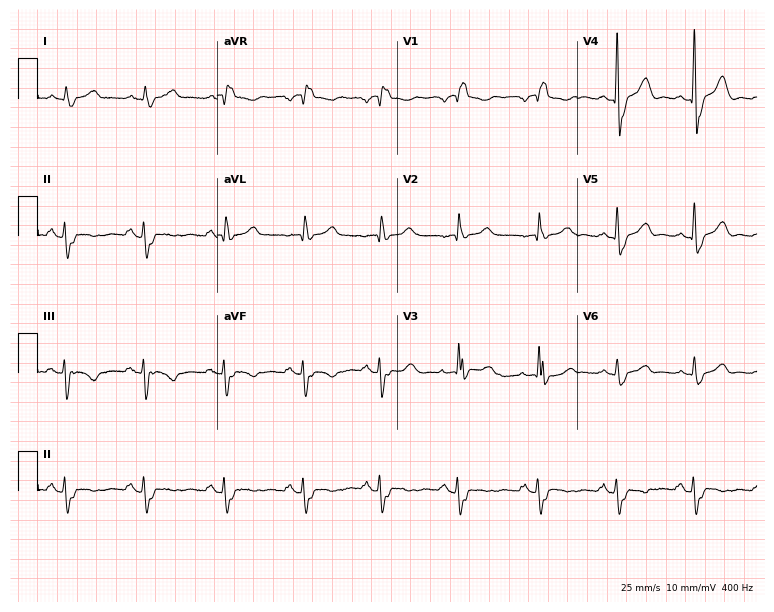
12-lead ECG (7.3-second recording at 400 Hz) from a male patient, 78 years old. Findings include right bundle branch block.